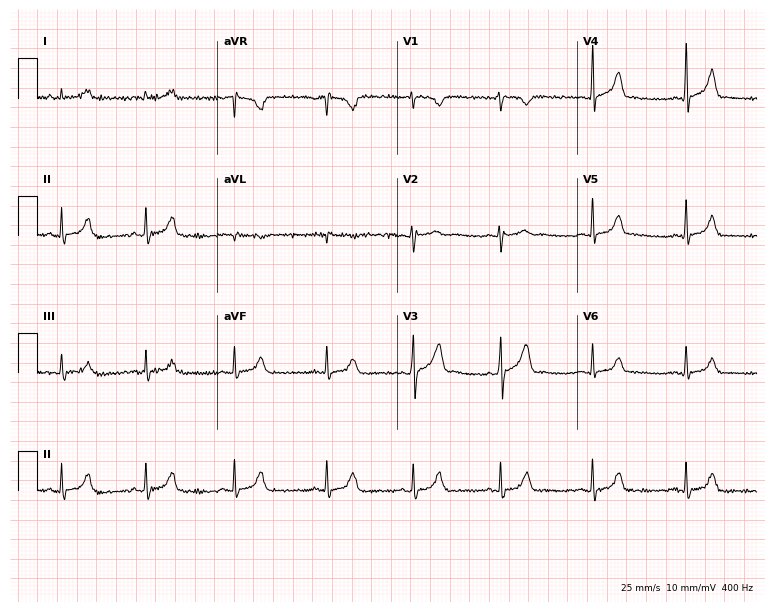
Resting 12-lead electrocardiogram. Patient: a woman, 26 years old. Read as a normal ECG.